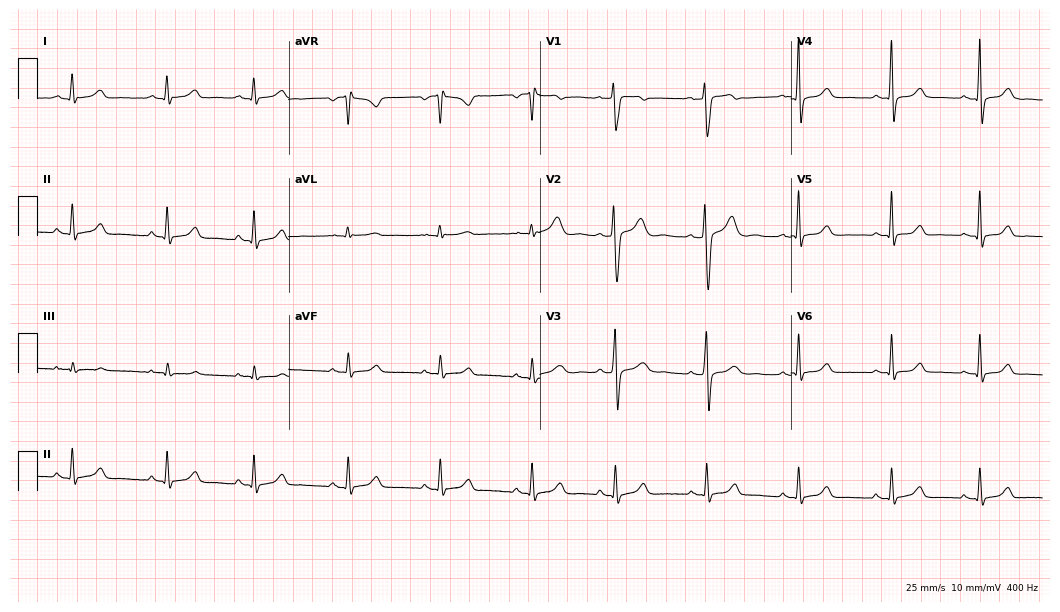
Electrocardiogram, a female, 31 years old. Overall reading on record: normal ECG.